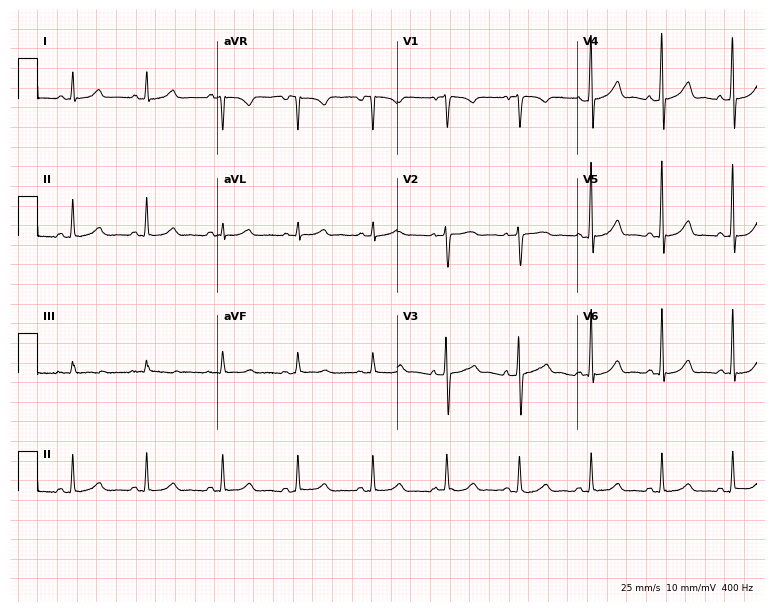
12-lead ECG from a 46-year-old female patient. Screened for six findings — first-degree AV block, right bundle branch block, left bundle branch block, sinus bradycardia, atrial fibrillation, sinus tachycardia — none is recorded. Only these six findings were labelled.